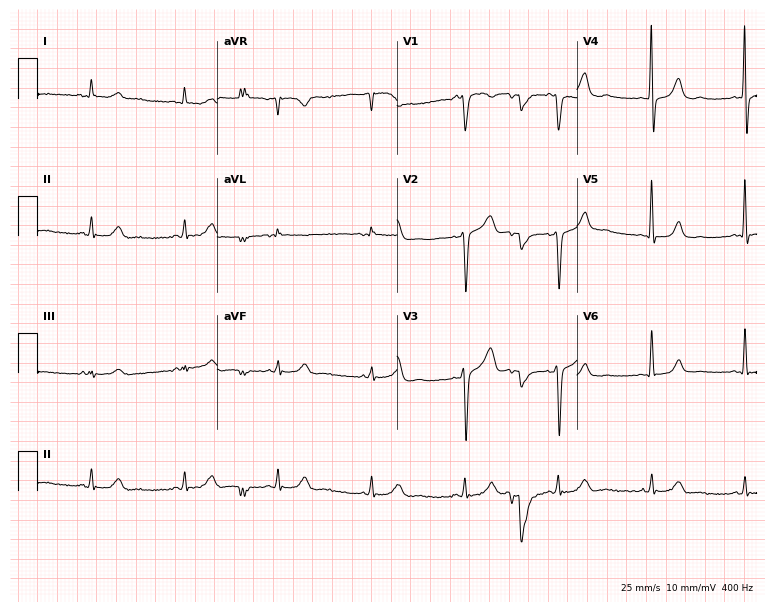
12-lead ECG from a 62-year-old man. No first-degree AV block, right bundle branch block, left bundle branch block, sinus bradycardia, atrial fibrillation or sinus tachycardia recorded for this tracing.